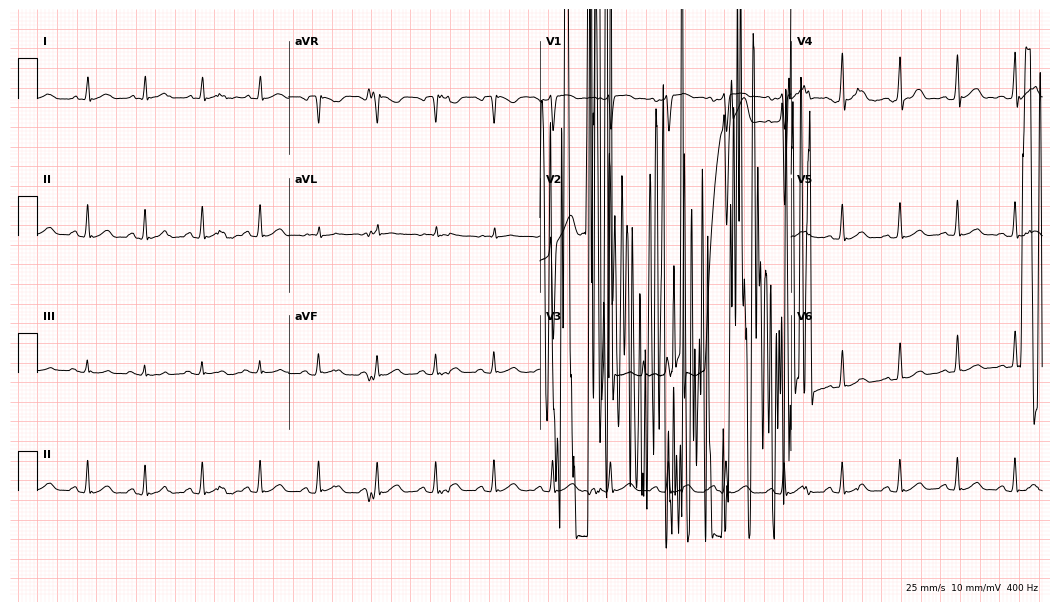
12-lead ECG from a 34-year-old man. Shows right bundle branch block (RBBB), sinus bradycardia (a sinus rate of 50 beats per minute or less).